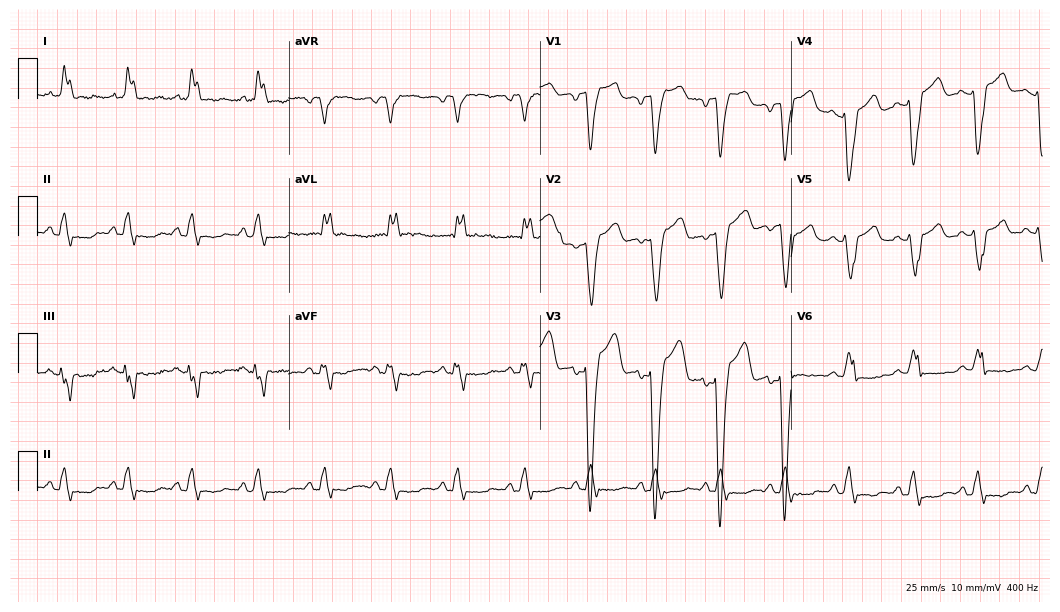
ECG — a 64-year-old female patient. Findings include left bundle branch block.